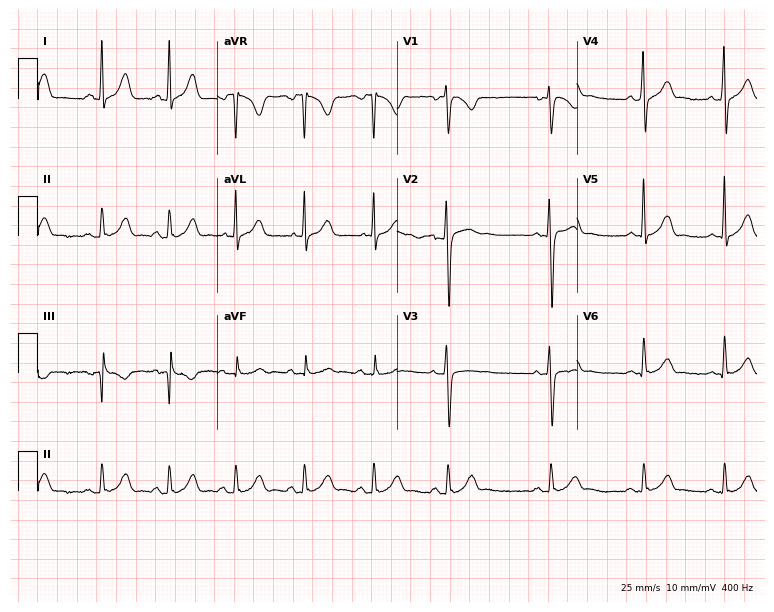
Resting 12-lead electrocardiogram. Patient: a 31-year-old male. Read as a normal ECG.